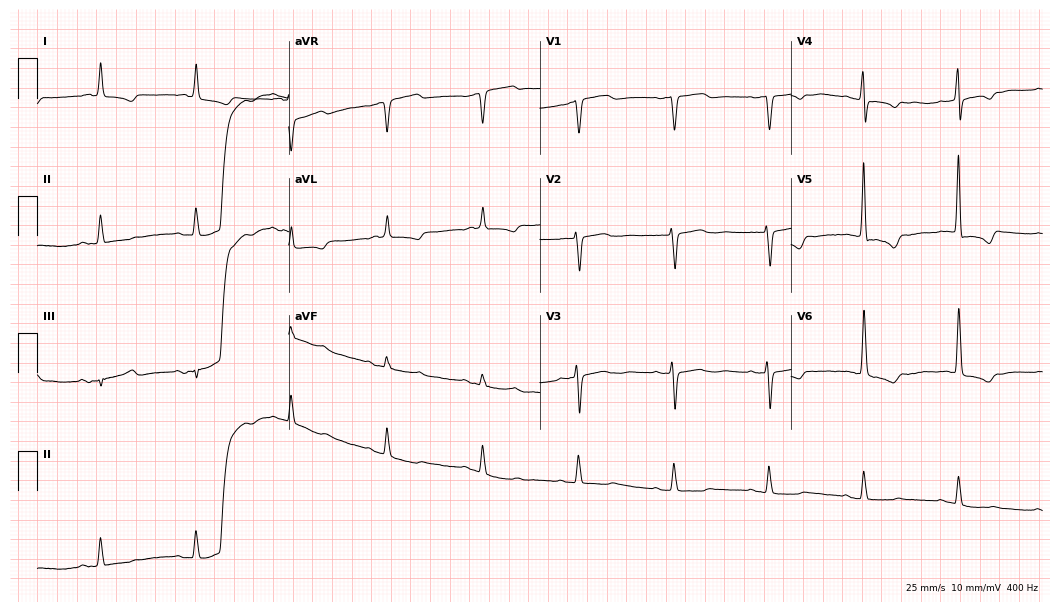
12-lead ECG from an 80-year-old man. Screened for six findings — first-degree AV block, right bundle branch block (RBBB), left bundle branch block (LBBB), sinus bradycardia, atrial fibrillation (AF), sinus tachycardia — none is recorded. Only these six findings were labelled.